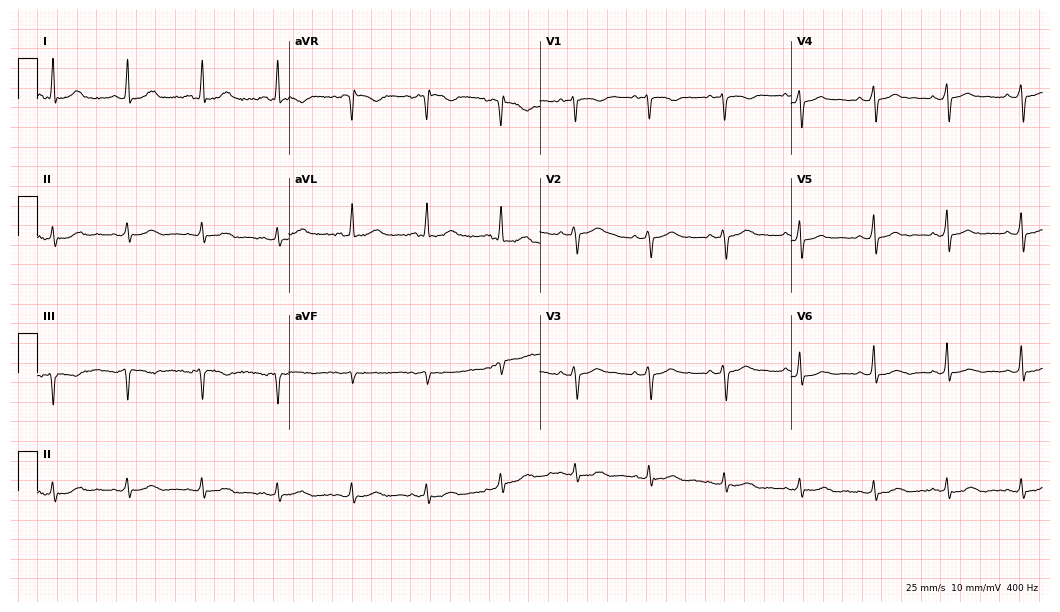
12-lead ECG from a female patient, 76 years old. Labelled as a normal ECG.